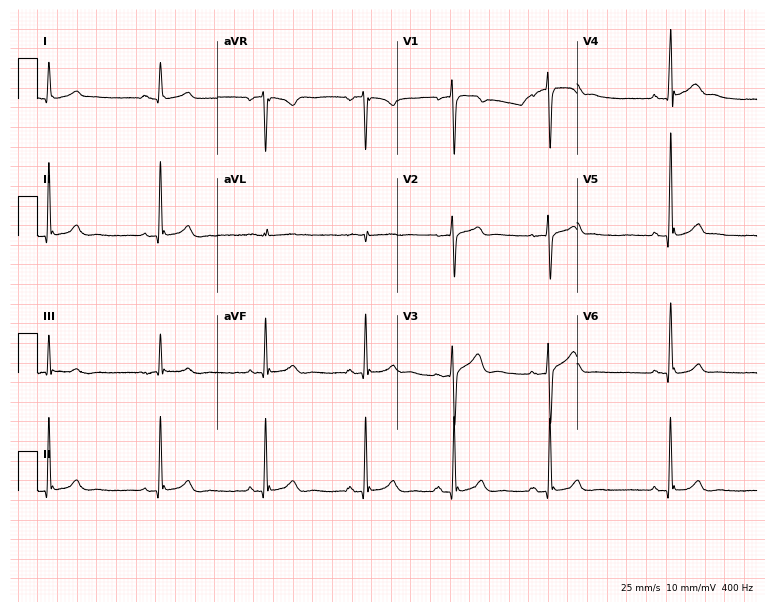
12-lead ECG (7.3-second recording at 400 Hz) from a 41-year-old male. Labelled as a normal ECG.